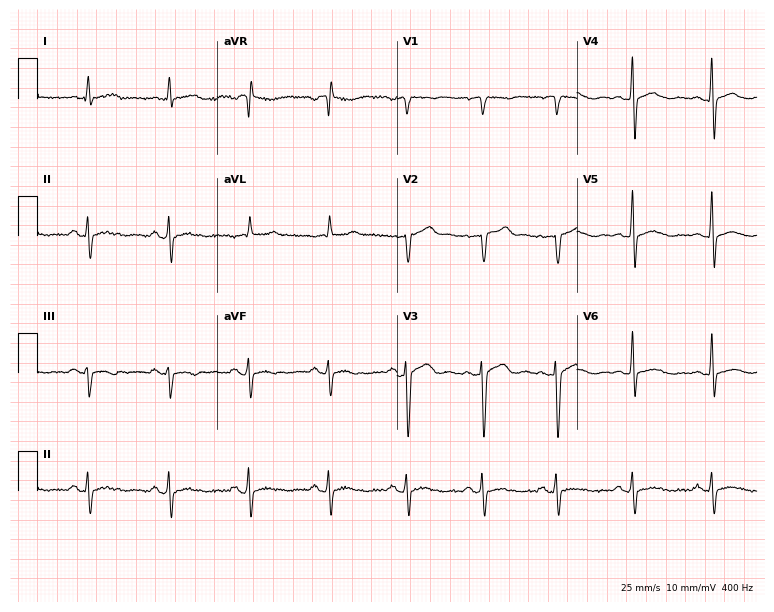
Electrocardiogram (7.3-second recording at 400 Hz), a male patient, 63 years old. Of the six screened findings (first-degree AV block, right bundle branch block, left bundle branch block, sinus bradycardia, atrial fibrillation, sinus tachycardia), none is recorded. Only these six findings were labelled.